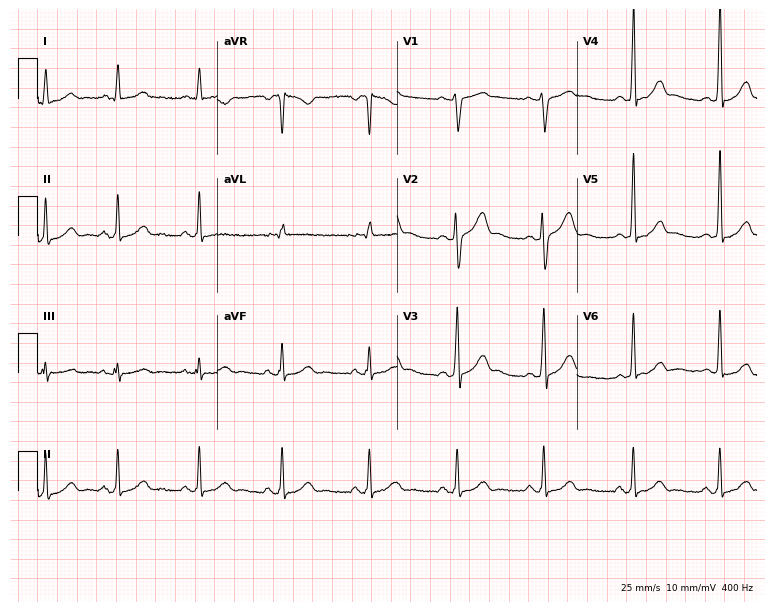
Electrocardiogram (7.3-second recording at 400 Hz), a 46-year-old man. Of the six screened findings (first-degree AV block, right bundle branch block (RBBB), left bundle branch block (LBBB), sinus bradycardia, atrial fibrillation (AF), sinus tachycardia), none is recorded.